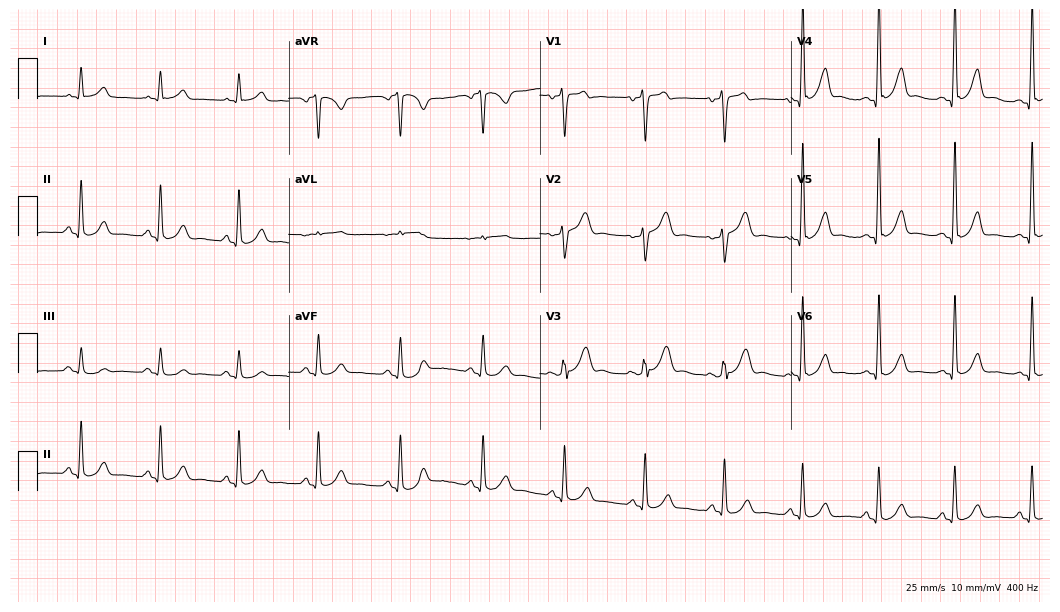
ECG — a male, 52 years old. Labelled as a normal ECG.